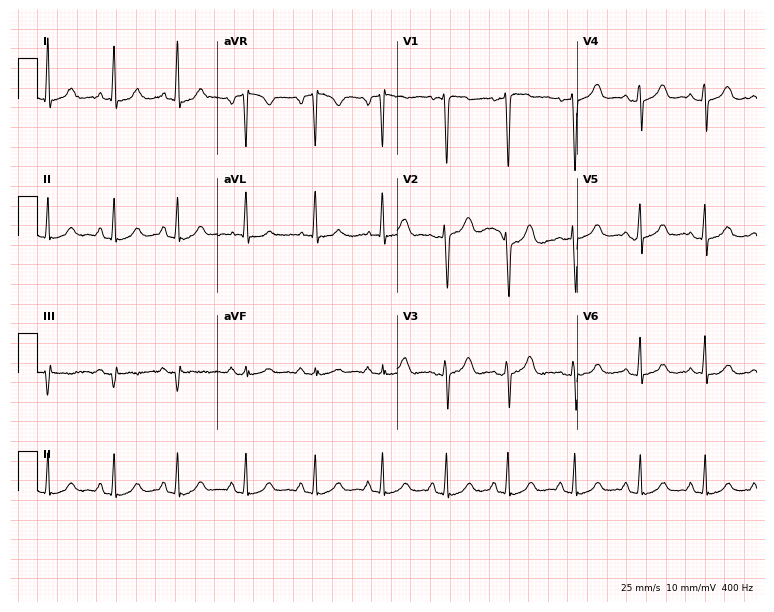
Resting 12-lead electrocardiogram. Patient: a woman, 40 years old. None of these six findings is recorded: first-degree AV block, right bundle branch block (RBBB), left bundle branch block (LBBB), sinus bradycardia, atrial fibrillation (AF), sinus tachycardia.